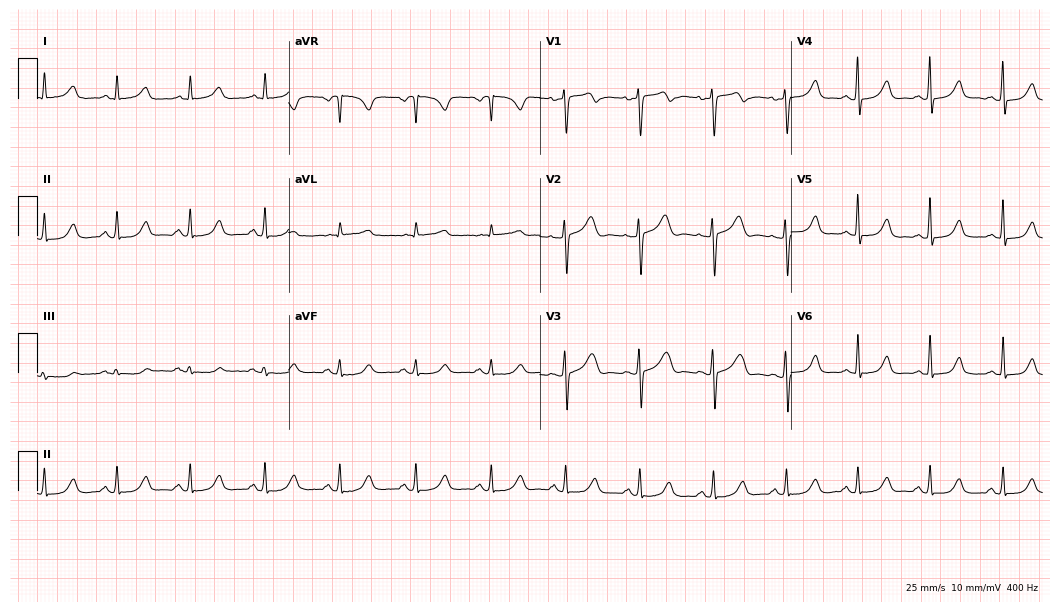
Standard 12-lead ECG recorded from a woman, 45 years old. Read as a normal ECG.